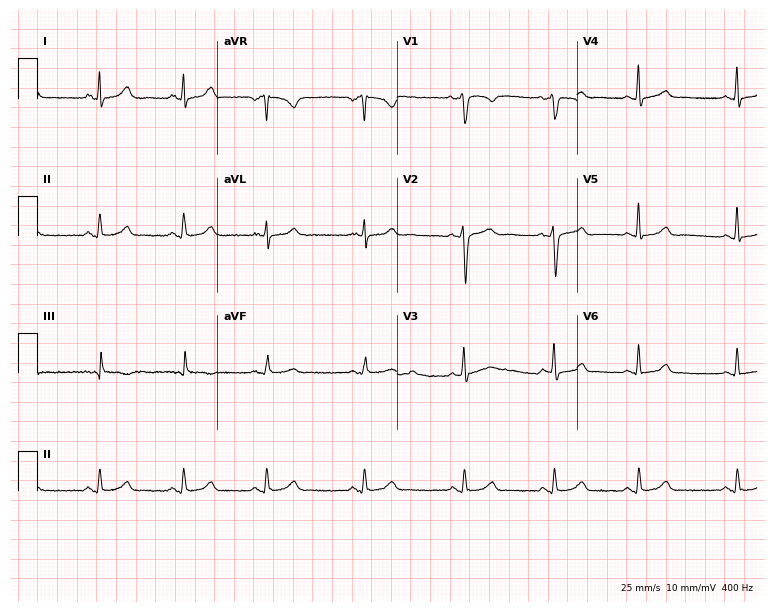
ECG — a female patient, 26 years old. Labelled as a normal ECG.